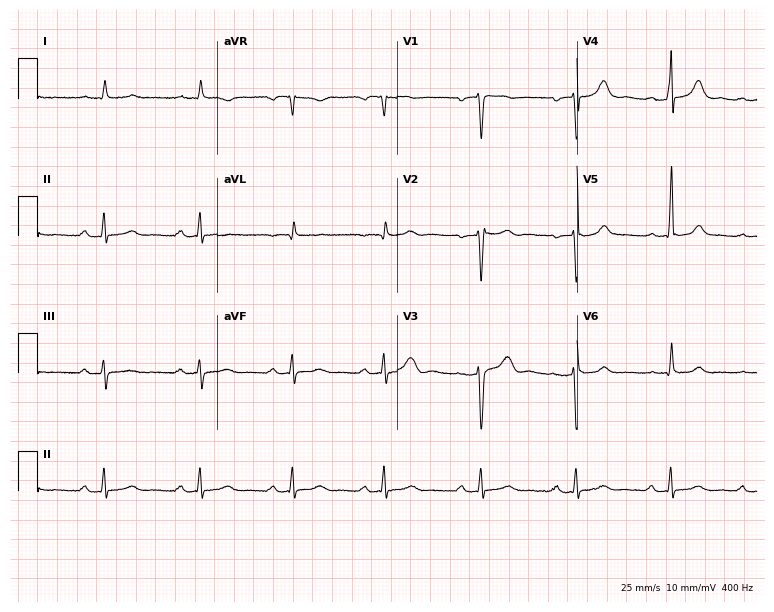
12-lead ECG from a male, 39 years old. No first-degree AV block, right bundle branch block, left bundle branch block, sinus bradycardia, atrial fibrillation or sinus tachycardia recorded for this tracing.